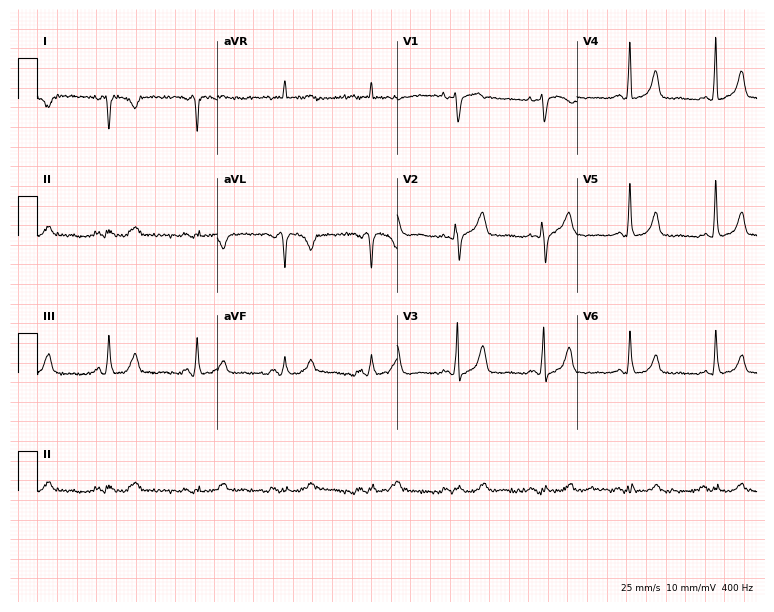
Resting 12-lead electrocardiogram. Patient: a 77-year-old female. None of these six findings is recorded: first-degree AV block, right bundle branch block (RBBB), left bundle branch block (LBBB), sinus bradycardia, atrial fibrillation (AF), sinus tachycardia. Findings outside these six are not listed.